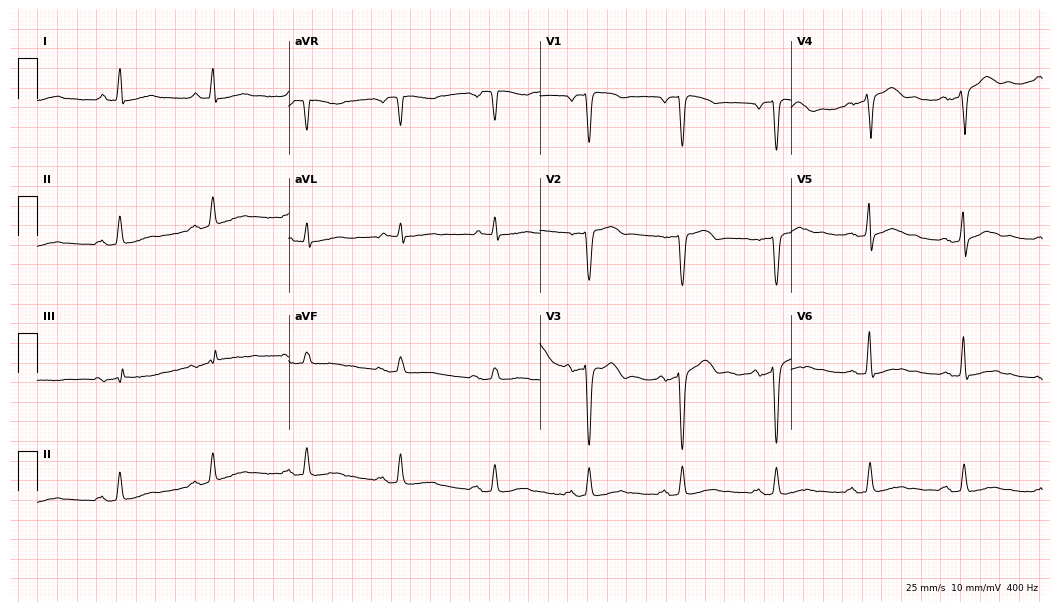
12-lead ECG from a 78-year-old male. No first-degree AV block, right bundle branch block, left bundle branch block, sinus bradycardia, atrial fibrillation or sinus tachycardia recorded for this tracing.